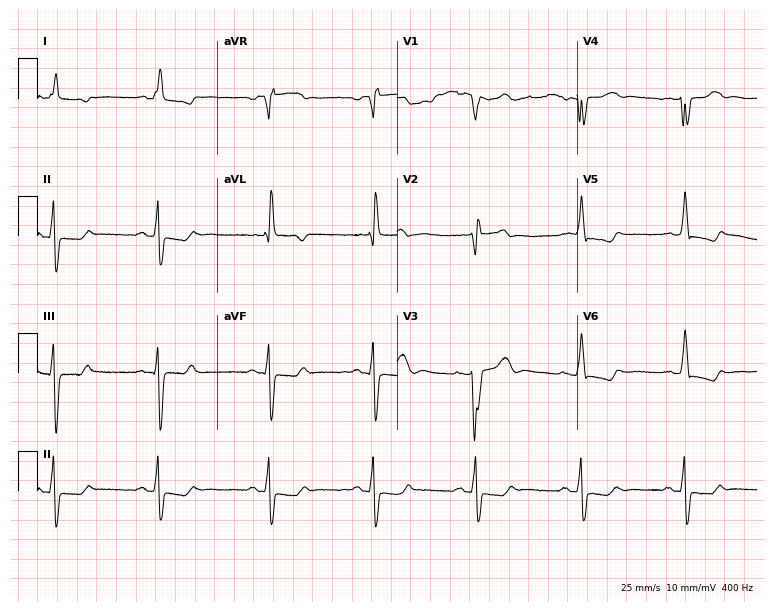
Resting 12-lead electrocardiogram. Patient: a man, 76 years old. None of these six findings is recorded: first-degree AV block, right bundle branch block, left bundle branch block, sinus bradycardia, atrial fibrillation, sinus tachycardia.